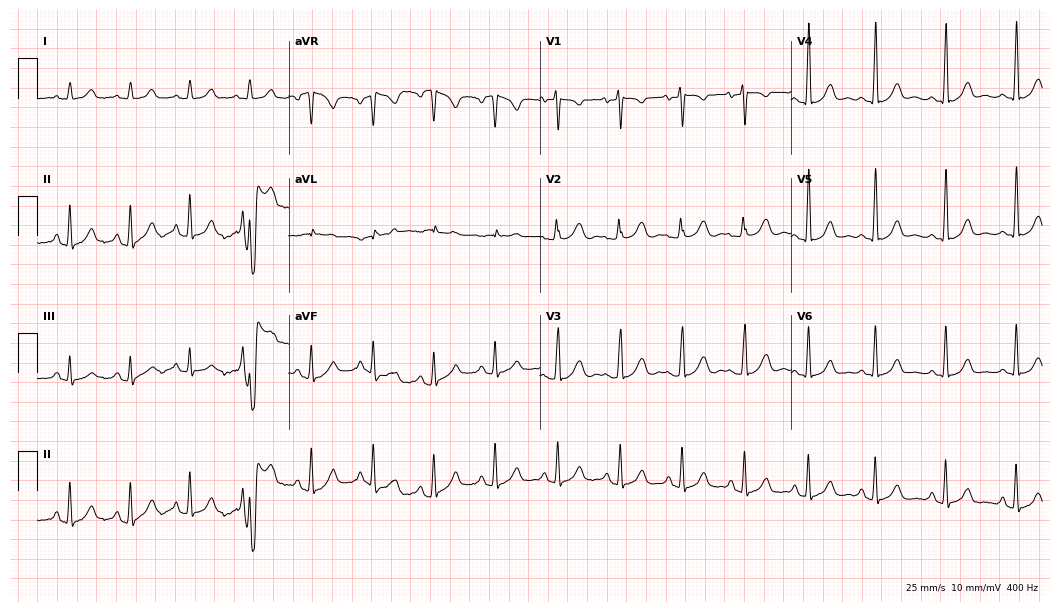
Electrocardiogram, a 29-year-old female patient. Of the six screened findings (first-degree AV block, right bundle branch block, left bundle branch block, sinus bradycardia, atrial fibrillation, sinus tachycardia), none is recorded.